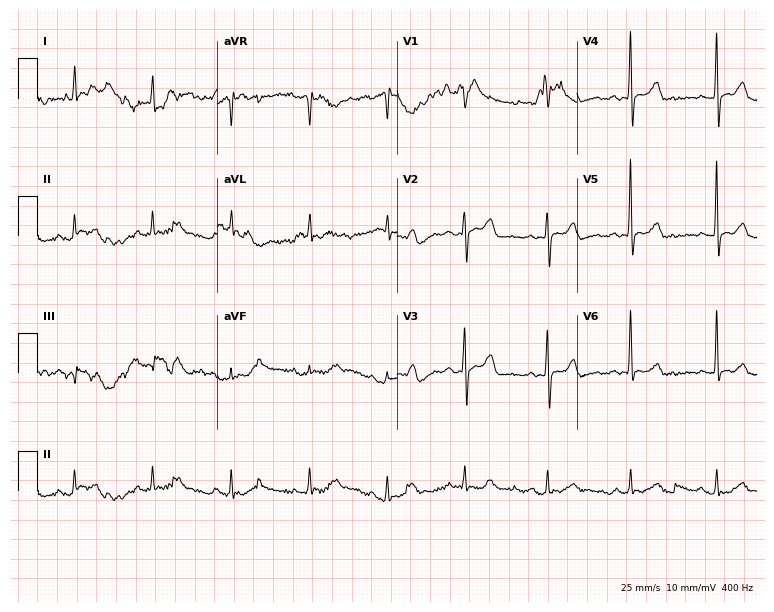
Resting 12-lead electrocardiogram. Patient: a woman, 82 years old. None of these six findings is recorded: first-degree AV block, right bundle branch block, left bundle branch block, sinus bradycardia, atrial fibrillation, sinus tachycardia.